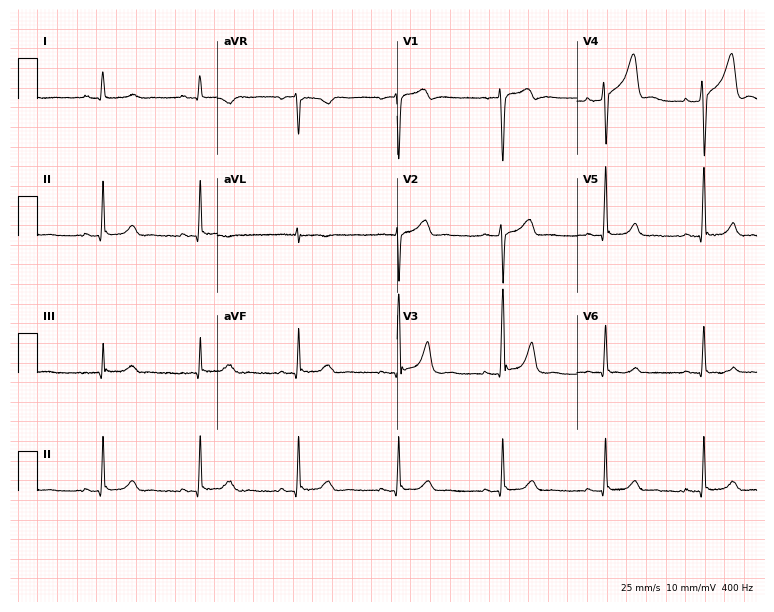
12-lead ECG from a male patient, 52 years old. Recorded interpretation: within normal limits.